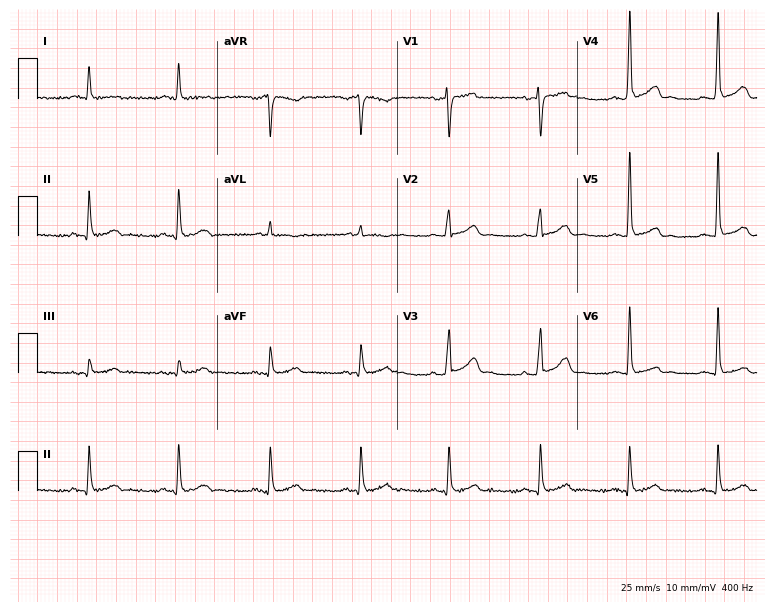
12-lead ECG from a 63-year-old female patient (7.3-second recording at 400 Hz). Recorded interpretation: within normal limits.